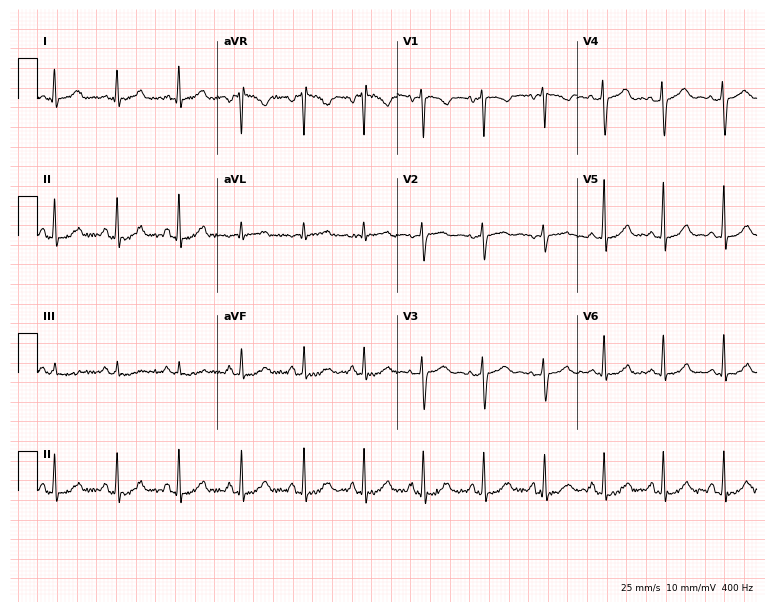
ECG — a female patient, 26 years old. Labelled as a normal ECG.